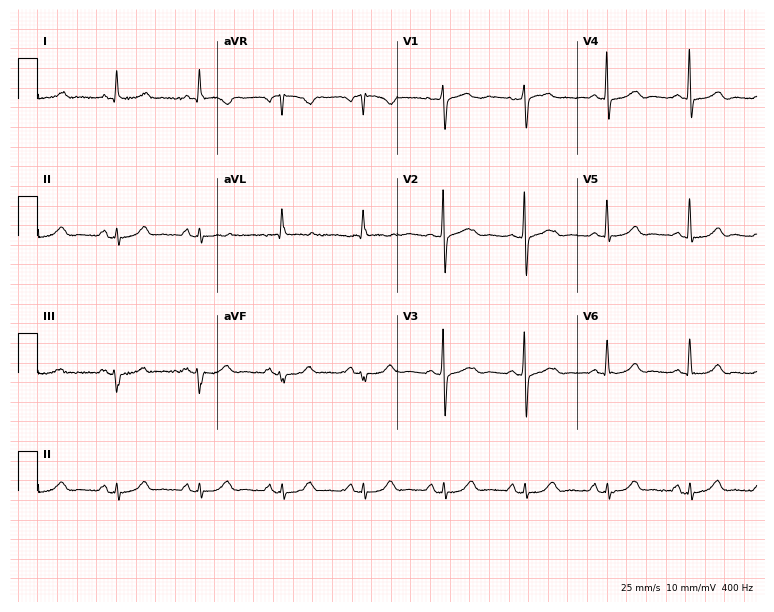
Electrocardiogram, a female, 82 years old. Overall reading on record: normal ECG.